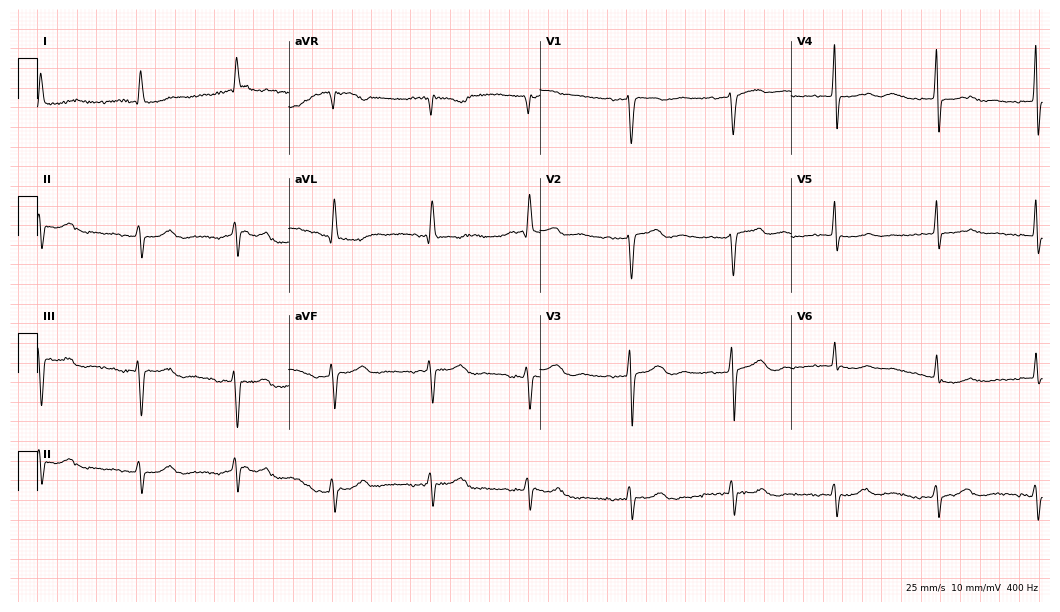
12-lead ECG from a male, 81 years old. Screened for six findings — first-degree AV block, right bundle branch block (RBBB), left bundle branch block (LBBB), sinus bradycardia, atrial fibrillation (AF), sinus tachycardia — none is recorded. Other findings, if any, are not listed.